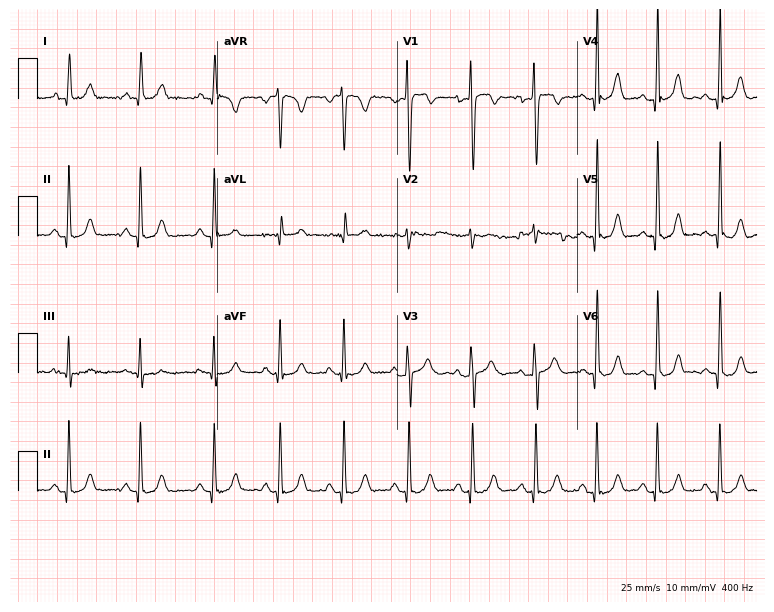
Standard 12-lead ECG recorded from a woman, 22 years old. Read as a normal ECG.